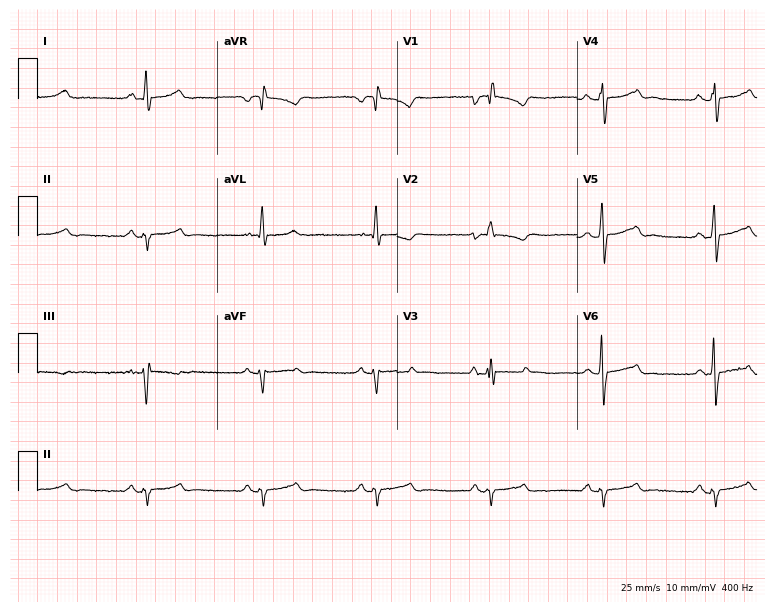
Electrocardiogram (7.3-second recording at 400 Hz), a 69-year-old man. Of the six screened findings (first-degree AV block, right bundle branch block, left bundle branch block, sinus bradycardia, atrial fibrillation, sinus tachycardia), none is recorded.